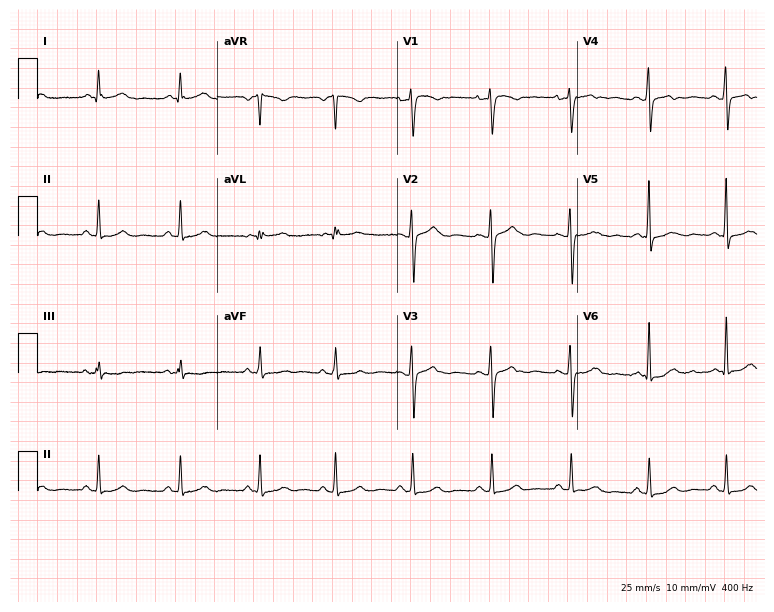
ECG — a woman, 42 years old. Labelled as a normal ECG.